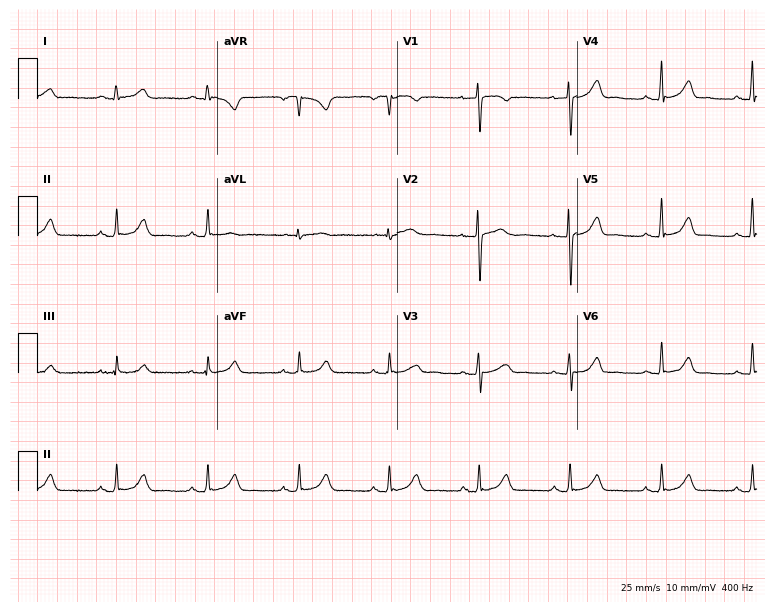
Electrocardiogram (7.3-second recording at 400 Hz), a 50-year-old female. Overall reading on record: normal ECG.